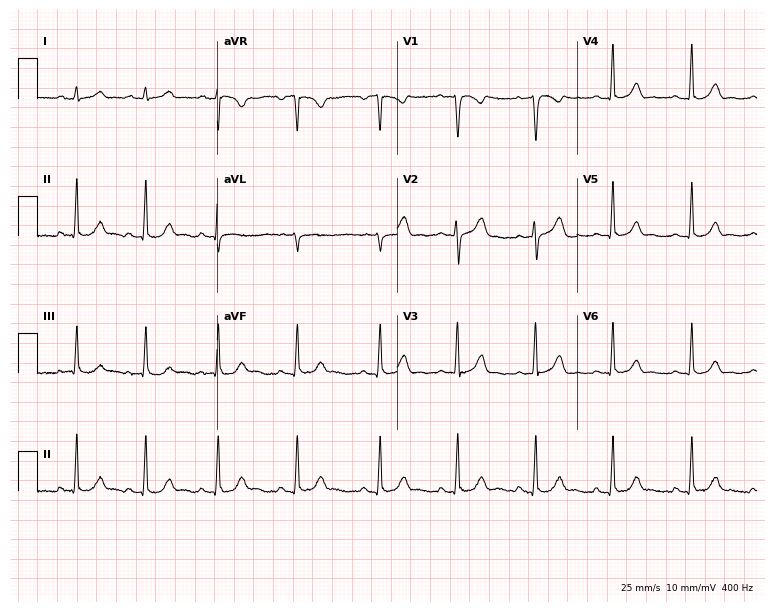
ECG — a 27-year-old female patient. Labelled as a normal ECG.